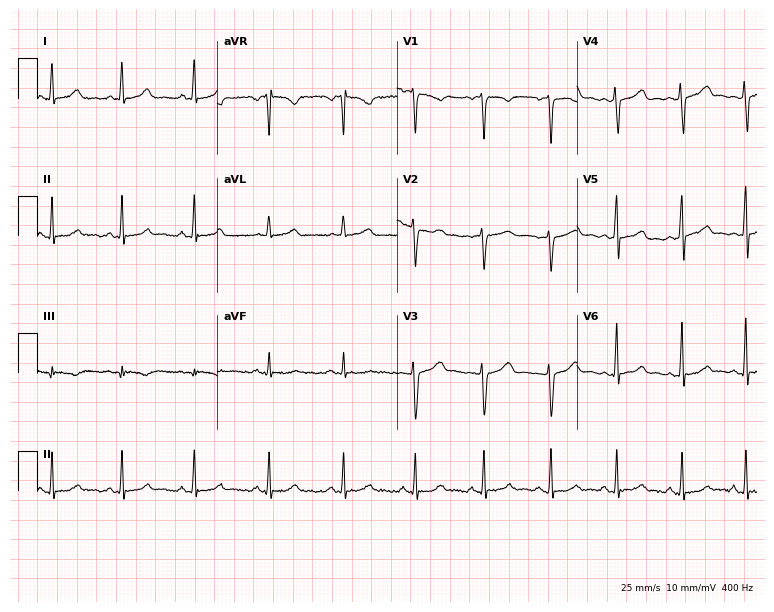
ECG (7.3-second recording at 400 Hz) — a female, 30 years old. Labelled as a normal ECG.